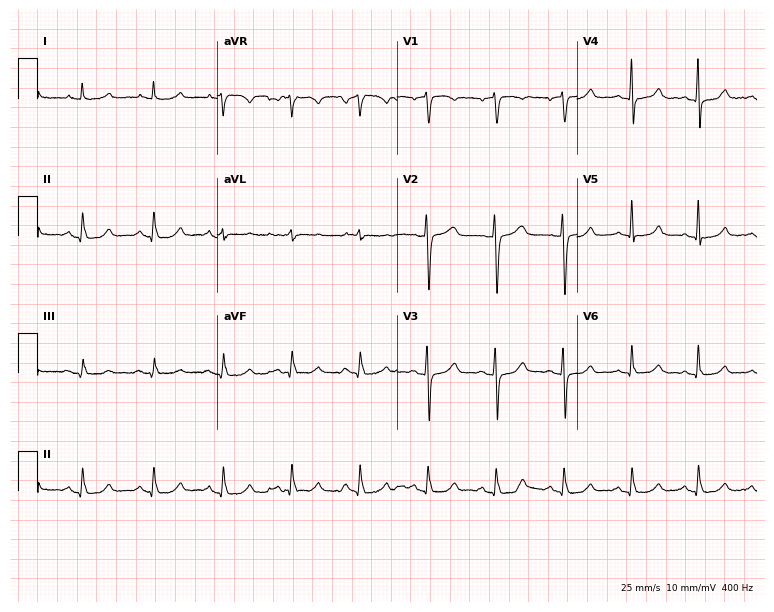
Resting 12-lead electrocardiogram (7.3-second recording at 400 Hz). Patient: a woman, 64 years old. Read as a normal ECG.